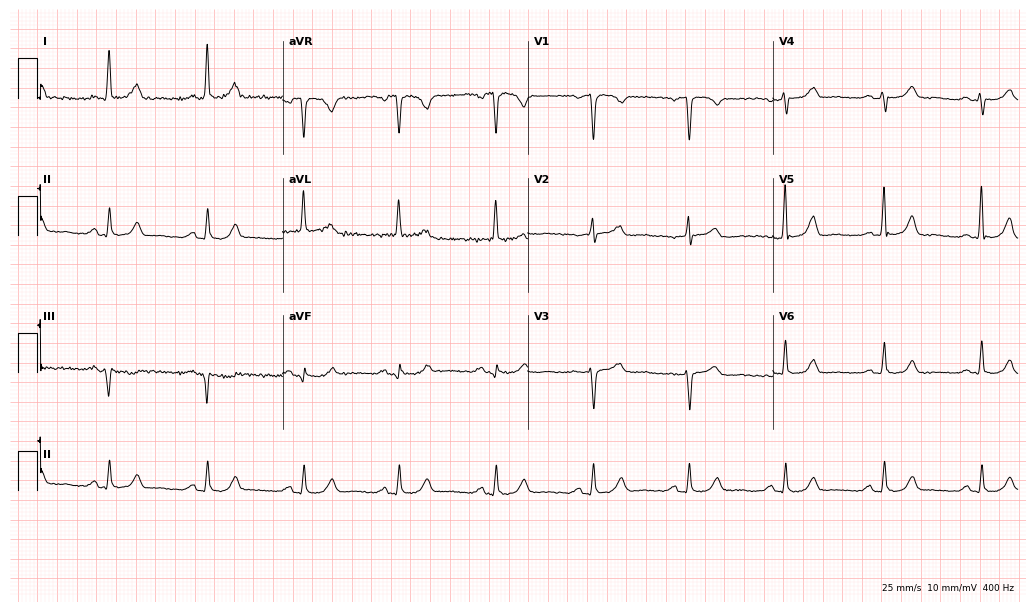
12-lead ECG from a 32-year-old male. No first-degree AV block, right bundle branch block, left bundle branch block, sinus bradycardia, atrial fibrillation or sinus tachycardia recorded for this tracing. Findings outside these six are not listed.